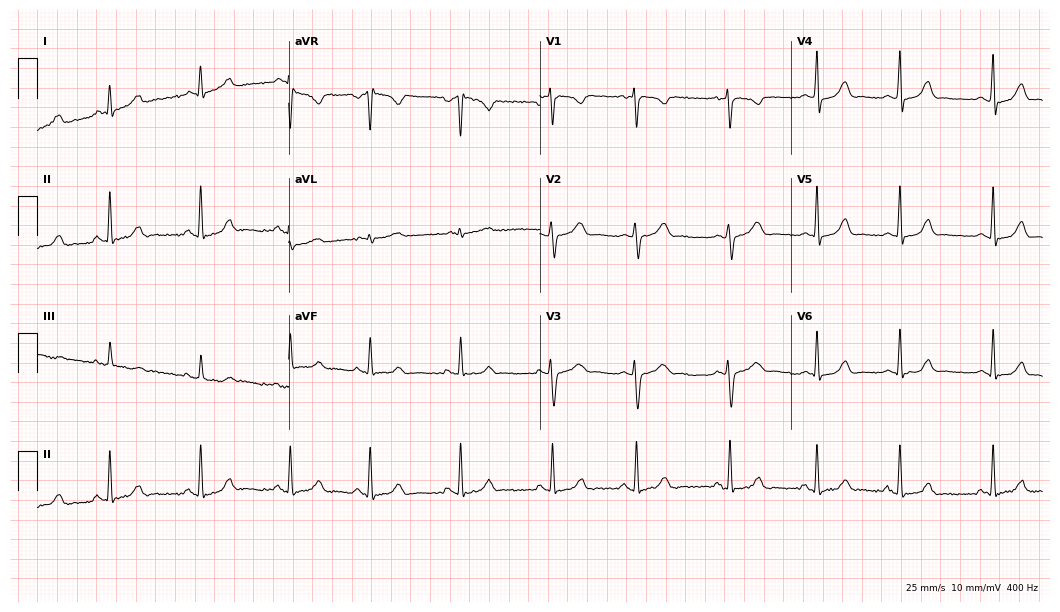
12-lead ECG from a woman, 17 years old. Labelled as a normal ECG.